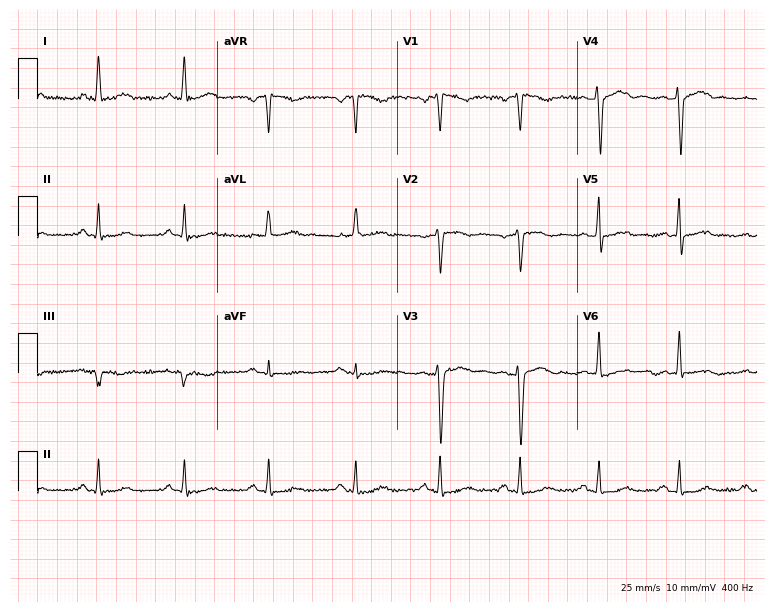
12-lead ECG (7.3-second recording at 400 Hz) from a man, 47 years old. Screened for six findings — first-degree AV block, right bundle branch block, left bundle branch block, sinus bradycardia, atrial fibrillation, sinus tachycardia — none is recorded.